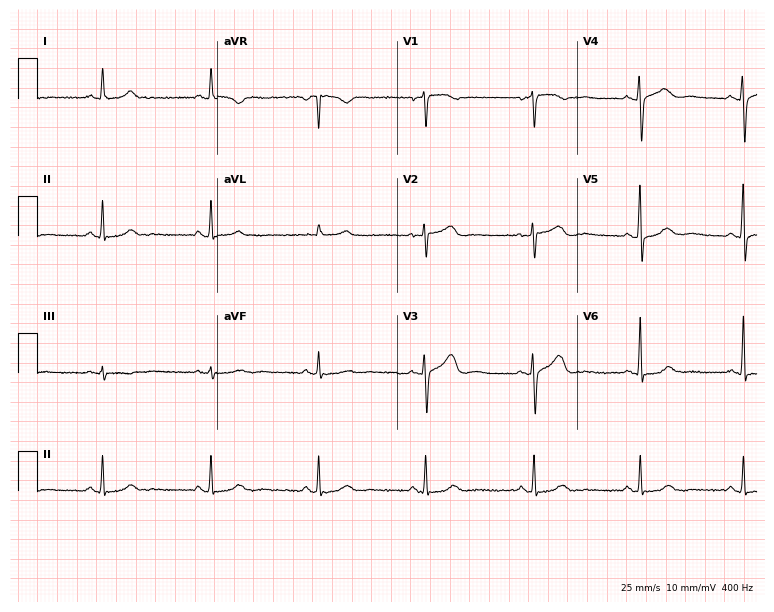
ECG (7.3-second recording at 400 Hz) — a 55-year-old female. Screened for six findings — first-degree AV block, right bundle branch block, left bundle branch block, sinus bradycardia, atrial fibrillation, sinus tachycardia — none is recorded.